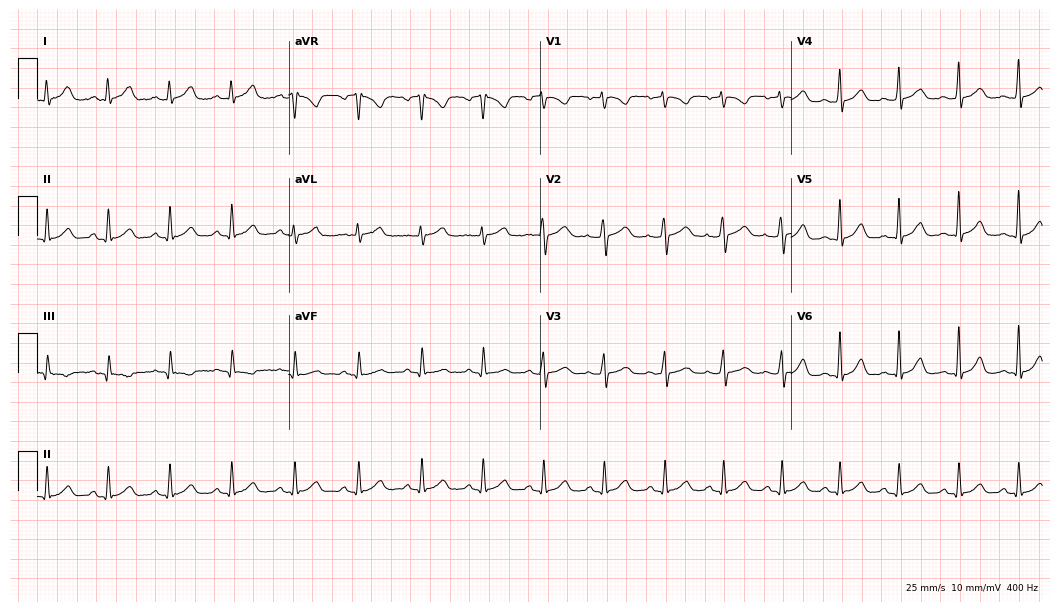
ECG (10.2-second recording at 400 Hz) — a female patient, 21 years old. Labelled as a normal ECG.